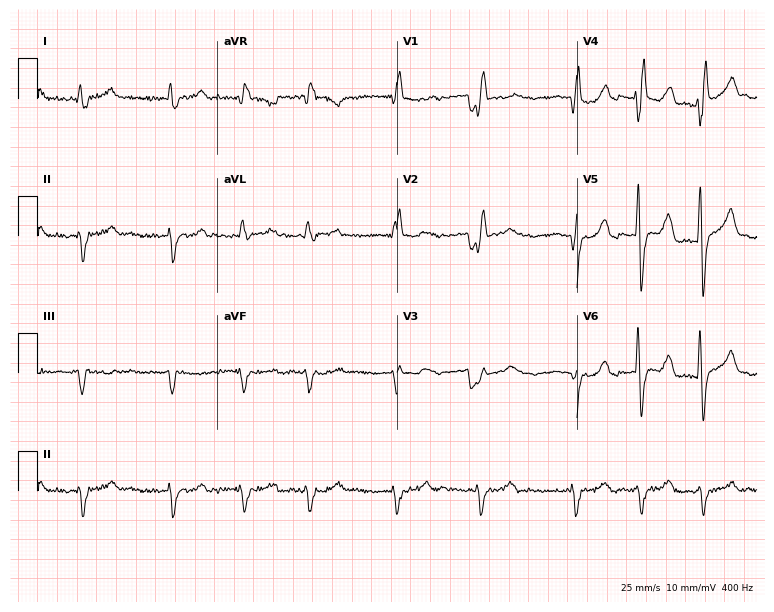
Standard 12-lead ECG recorded from a male patient, 80 years old (7.3-second recording at 400 Hz). The tracing shows right bundle branch block, atrial fibrillation.